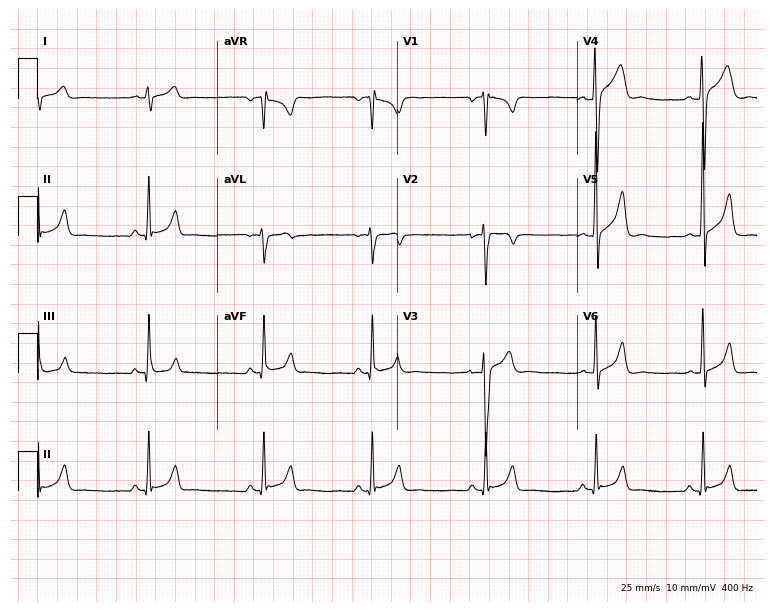
ECG (7.3-second recording at 400 Hz) — an 18-year-old man. Labelled as a normal ECG.